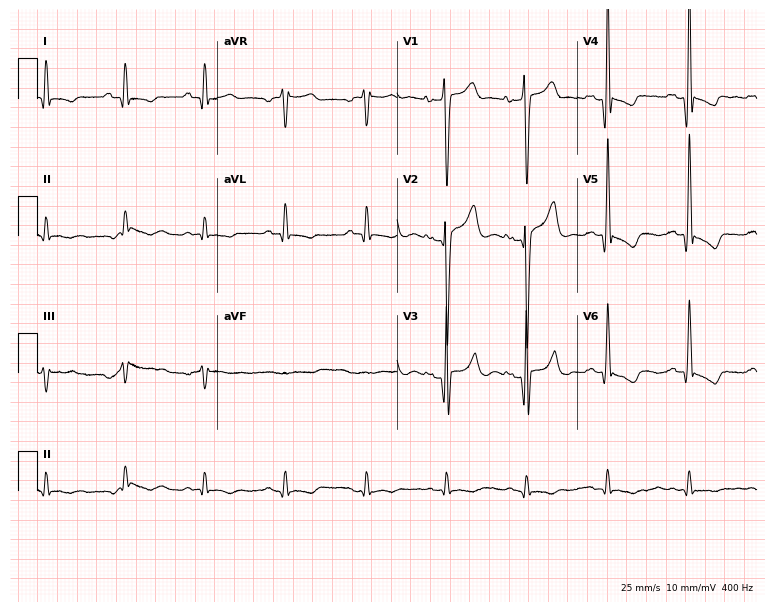
12-lead ECG from a 49-year-old man (7.3-second recording at 400 Hz). No first-degree AV block, right bundle branch block, left bundle branch block, sinus bradycardia, atrial fibrillation or sinus tachycardia recorded for this tracing.